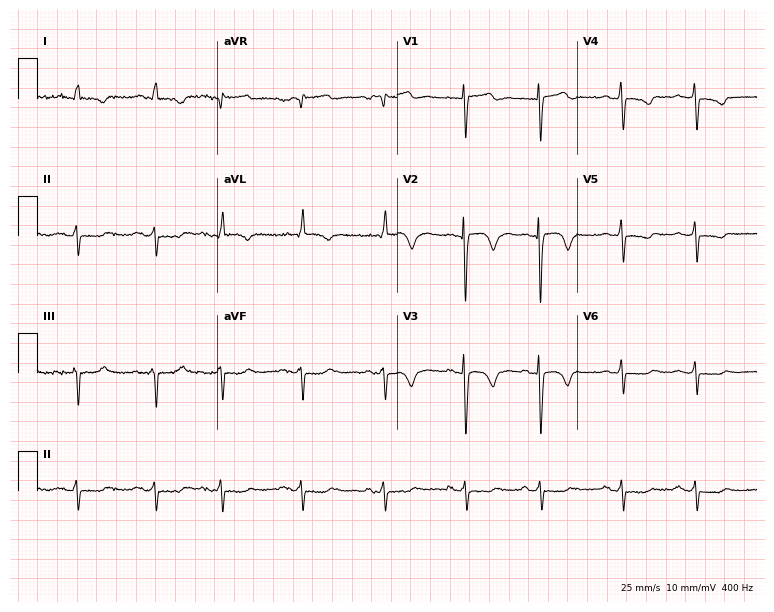
Standard 12-lead ECG recorded from a male patient, 73 years old. None of these six findings is recorded: first-degree AV block, right bundle branch block, left bundle branch block, sinus bradycardia, atrial fibrillation, sinus tachycardia. Findings outside these six are not listed.